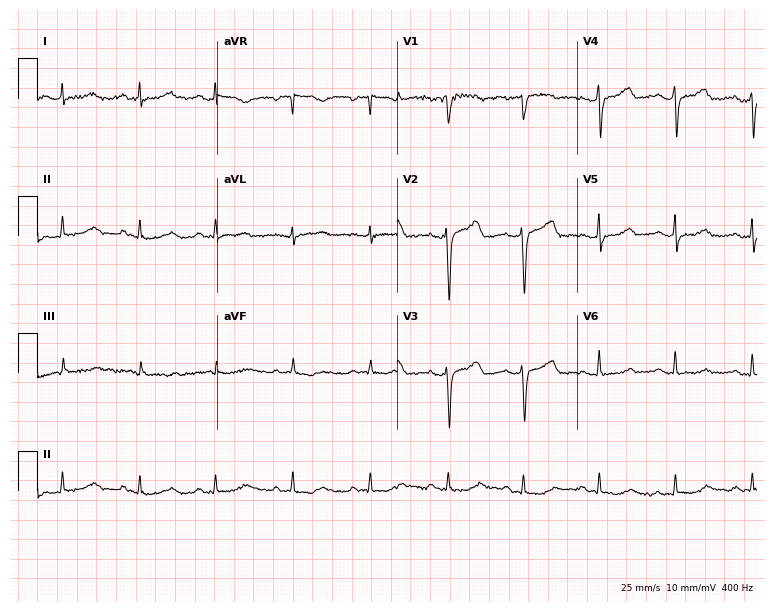
12-lead ECG from a female, 52 years old (7.3-second recording at 400 Hz). No first-degree AV block, right bundle branch block (RBBB), left bundle branch block (LBBB), sinus bradycardia, atrial fibrillation (AF) or sinus tachycardia recorded for this tracing. Findings outside these six are not listed.